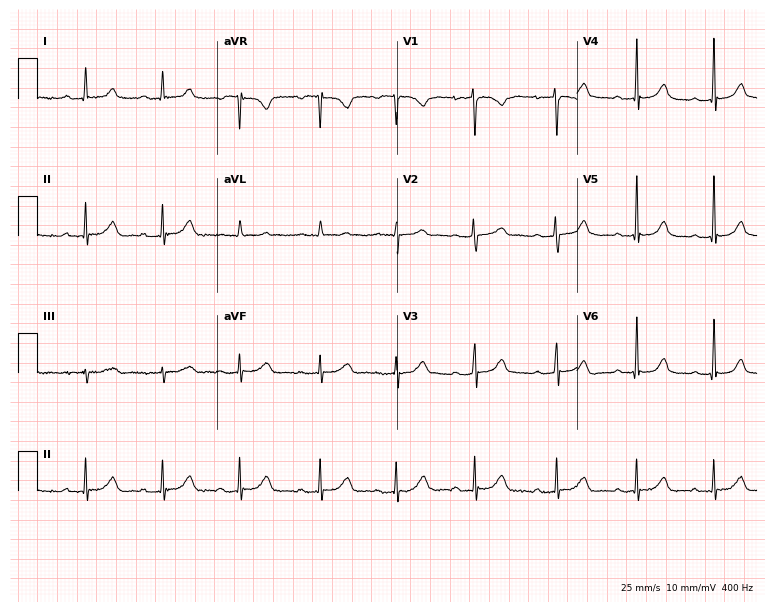
Electrocardiogram (7.3-second recording at 400 Hz), a 26-year-old female patient. Overall reading on record: normal ECG.